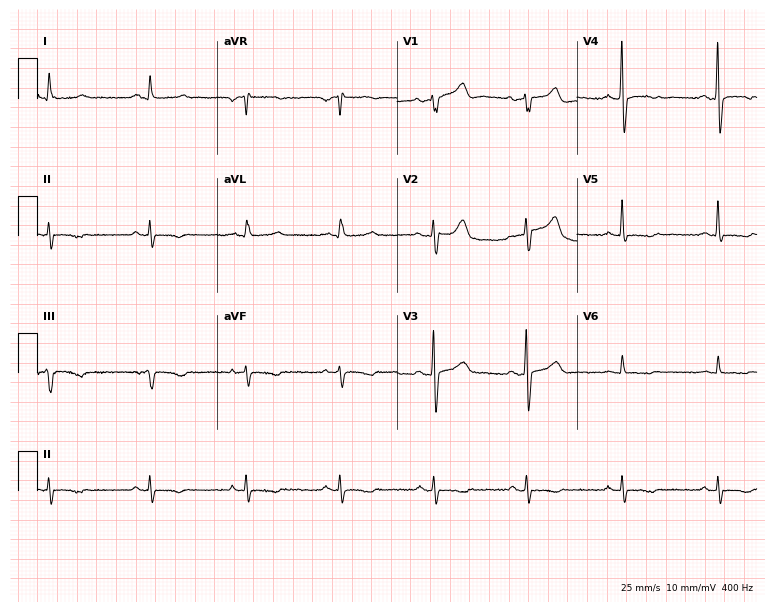
12-lead ECG from a 58-year-old male patient. Screened for six findings — first-degree AV block, right bundle branch block, left bundle branch block, sinus bradycardia, atrial fibrillation, sinus tachycardia — none is recorded.